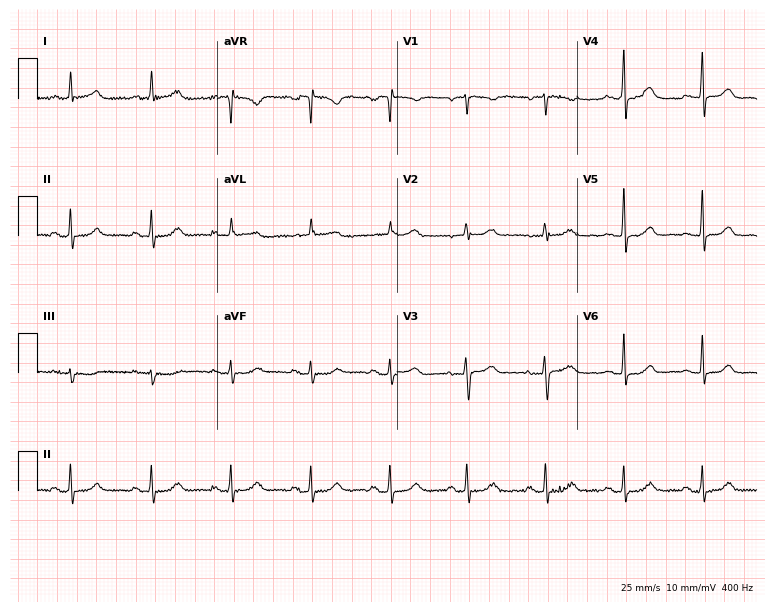
12-lead ECG from a female patient, 68 years old. Labelled as a normal ECG.